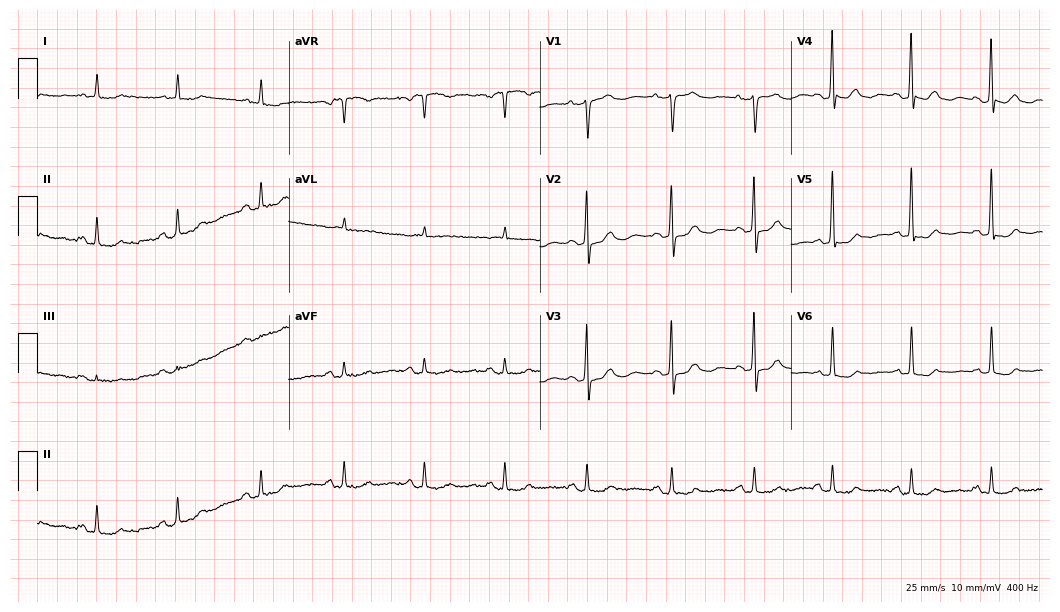
Electrocardiogram, a female, 79 years old. Of the six screened findings (first-degree AV block, right bundle branch block, left bundle branch block, sinus bradycardia, atrial fibrillation, sinus tachycardia), none is recorded. Other findings, if any, are not listed.